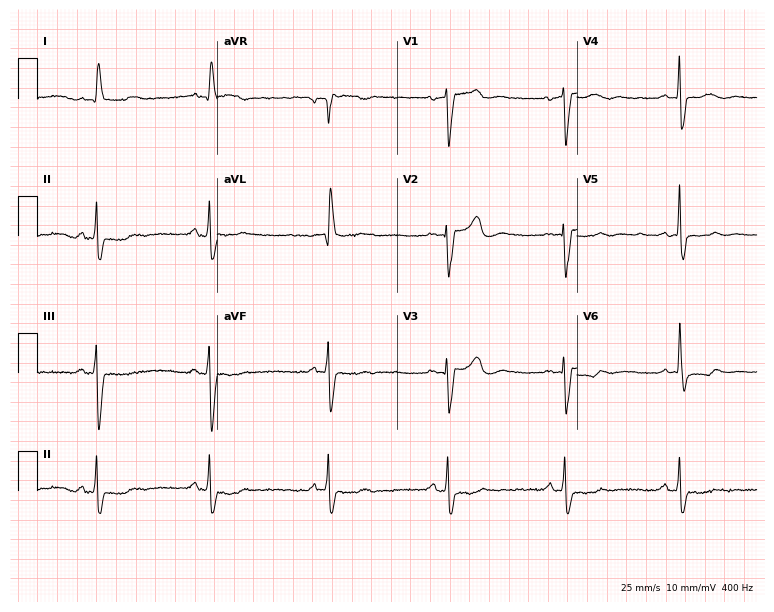
Standard 12-lead ECG recorded from a man, 74 years old. None of these six findings is recorded: first-degree AV block, right bundle branch block, left bundle branch block, sinus bradycardia, atrial fibrillation, sinus tachycardia.